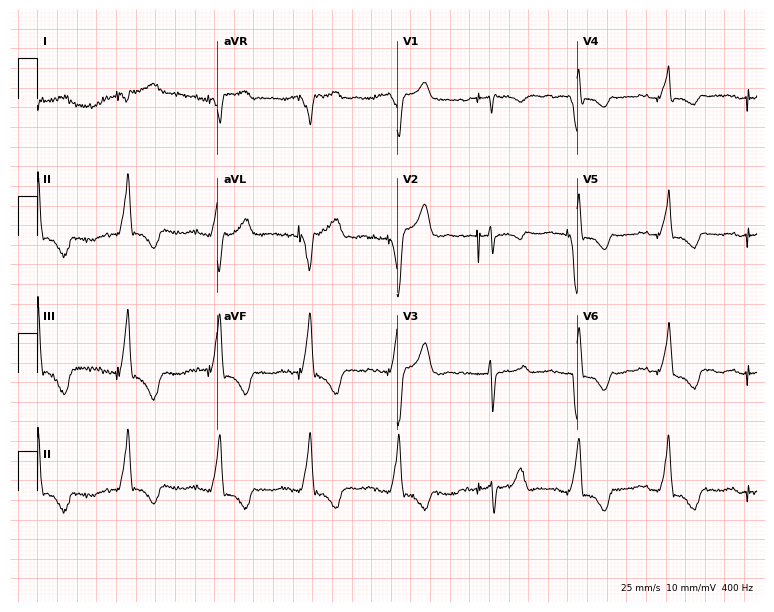
12-lead ECG from a 71-year-old female patient (7.3-second recording at 400 Hz). No first-degree AV block, right bundle branch block, left bundle branch block, sinus bradycardia, atrial fibrillation or sinus tachycardia recorded for this tracing. Other findings, if any, are not listed.